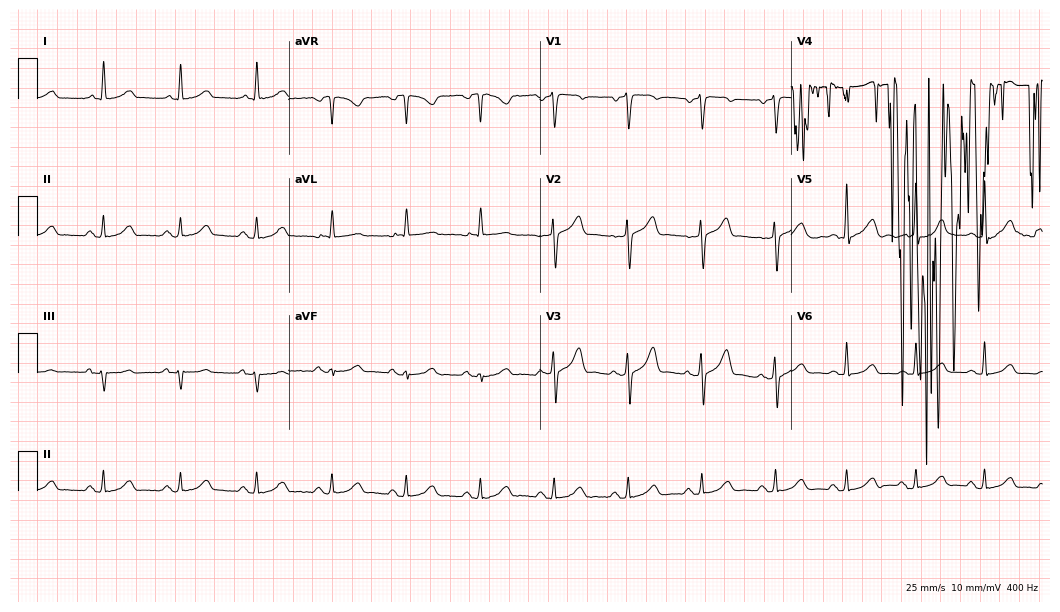
12-lead ECG from a woman, 69 years old (10.2-second recording at 400 Hz). No first-degree AV block, right bundle branch block (RBBB), left bundle branch block (LBBB), sinus bradycardia, atrial fibrillation (AF) or sinus tachycardia recorded for this tracing.